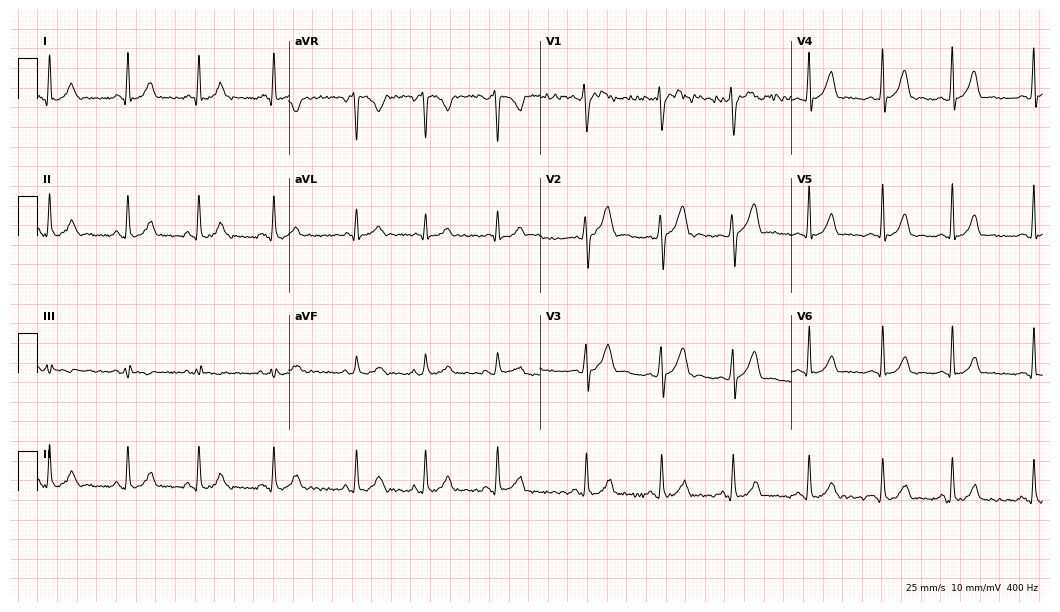
Standard 12-lead ECG recorded from a 22-year-old female patient (10.2-second recording at 400 Hz). None of these six findings is recorded: first-degree AV block, right bundle branch block, left bundle branch block, sinus bradycardia, atrial fibrillation, sinus tachycardia.